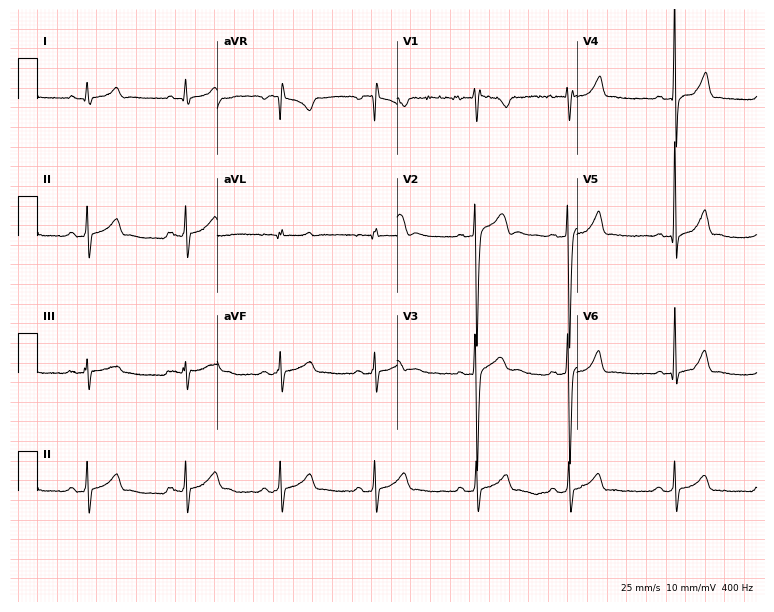
Standard 12-lead ECG recorded from a woman, 17 years old. Read as a normal ECG.